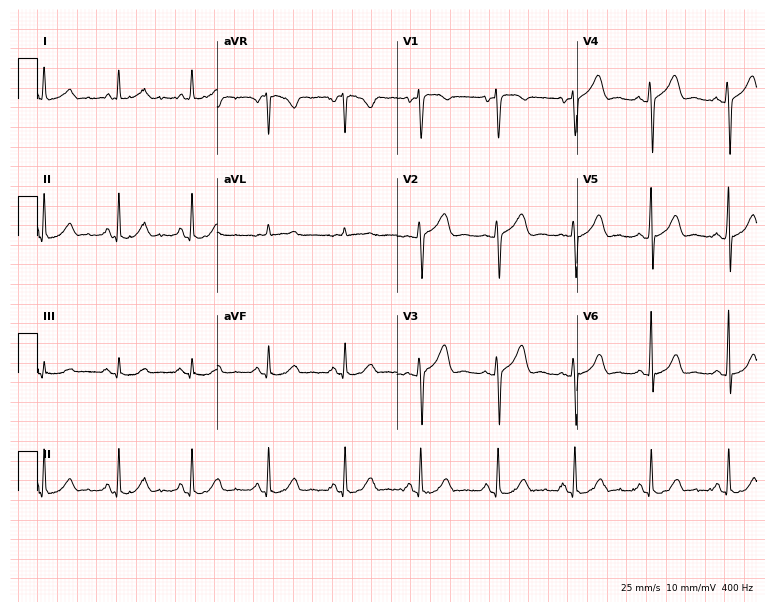
12-lead ECG from a 64-year-old female. No first-degree AV block, right bundle branch block, left bundle branch block, sinus bradycardia, atrial fibrillation or sinus tachycardia recorded for this tracing.